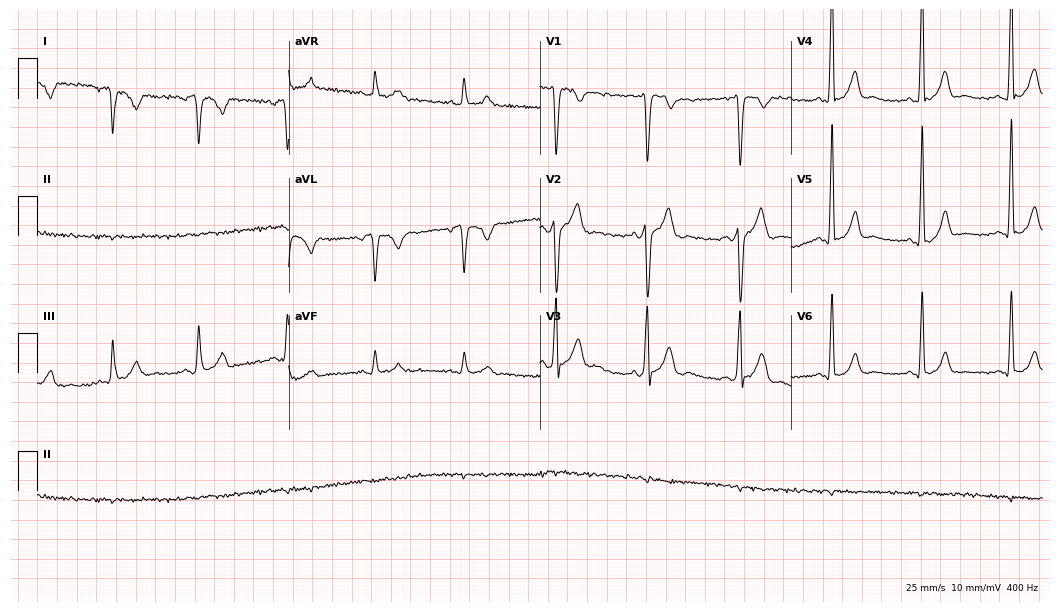
Electrocardiogram (10.2-second recording at 400 Hz), a 24-year-old man. Of the six screened findings (first-degree AV block, right bundle branch block, left bundle branch block, sinus bradycardia, atrial fibrillation, sinus tachycardia), none is recorded. Findings outside these six are not listed.